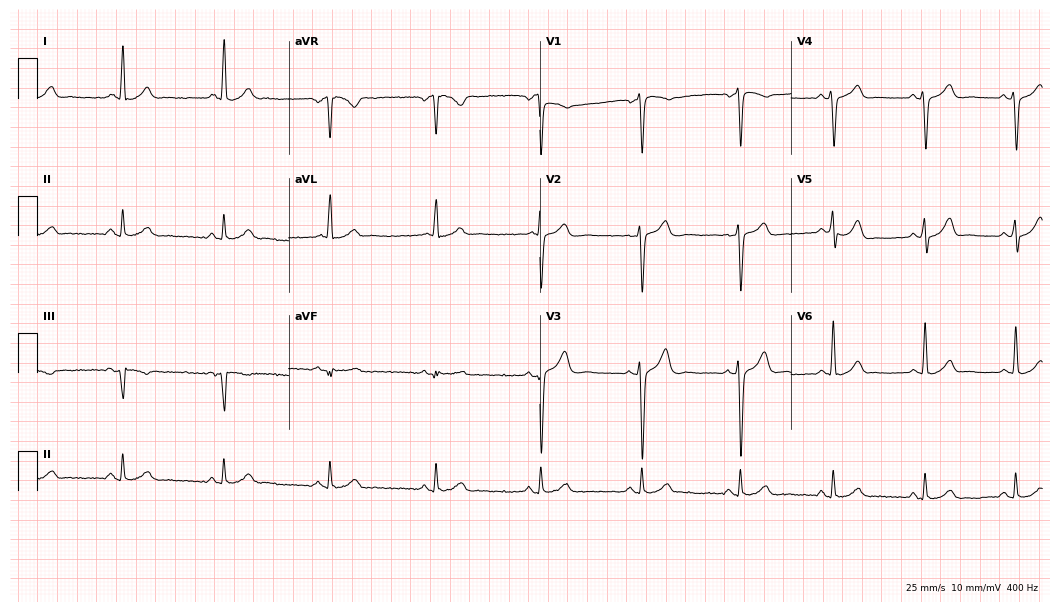
ECG — a 44-year-old male patient. Labelled as a normal ECG.